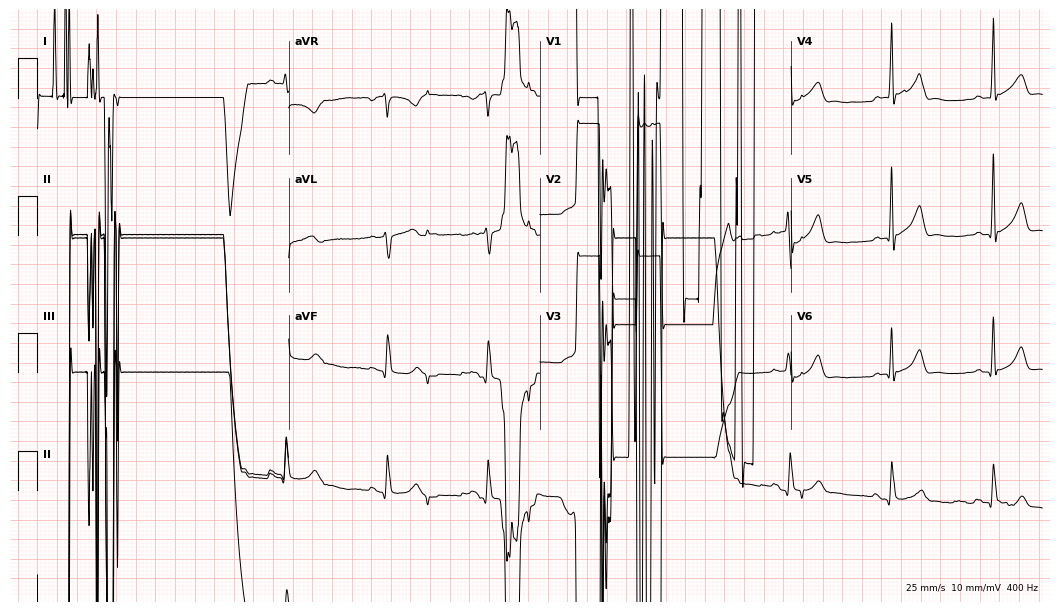
ECG (10.2-second recording at 400 Hz) — a 29-year-old male. Screened for six findings — first-degree AV block, right bundle branch block (RBBB), left bundle branch block (LBBB), sinus bradycardia, atrial fibrillation (AF), sinus tachycardia — none is recorded.